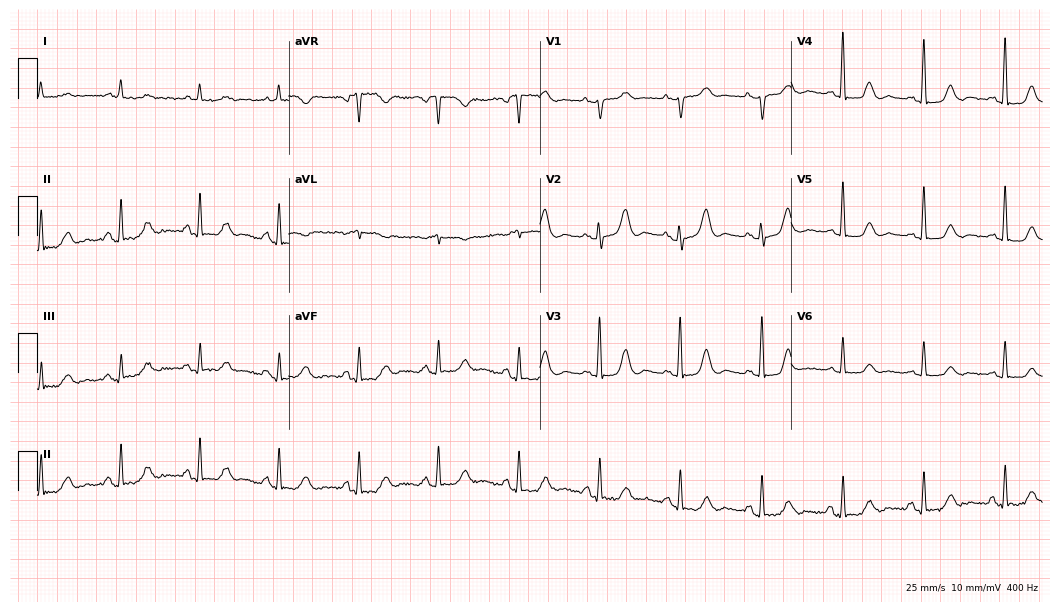
ECG (10.2-second recording at 400 Hz) — an 81-year-old woman. Labelled as a normal ECG.